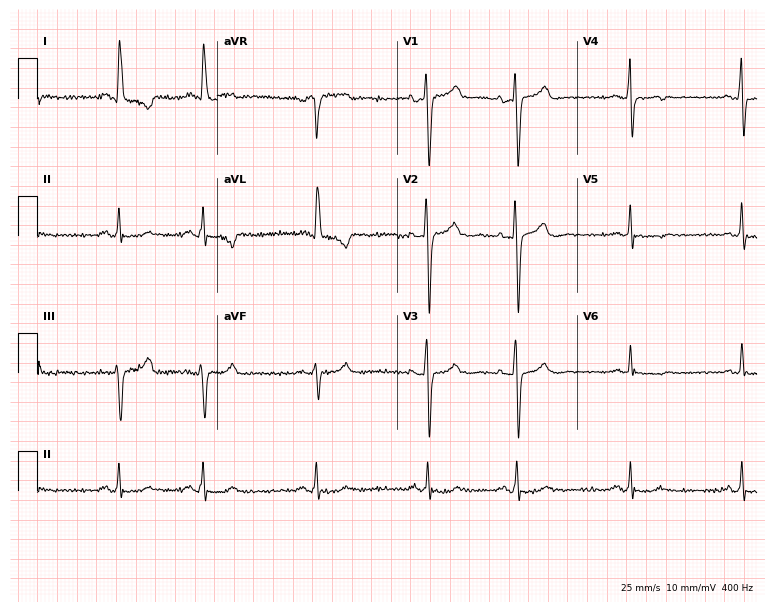
ECG (7.3-second recording at 400 Hz) — a woman, 50 years old. Screened for six findings — first-degree AV block, right bundle branch block, left bundle branch block, sinus bradycardia, atrial fibrillation, sinus tachycardia — none is recorded. Findings outside these six are not listed.